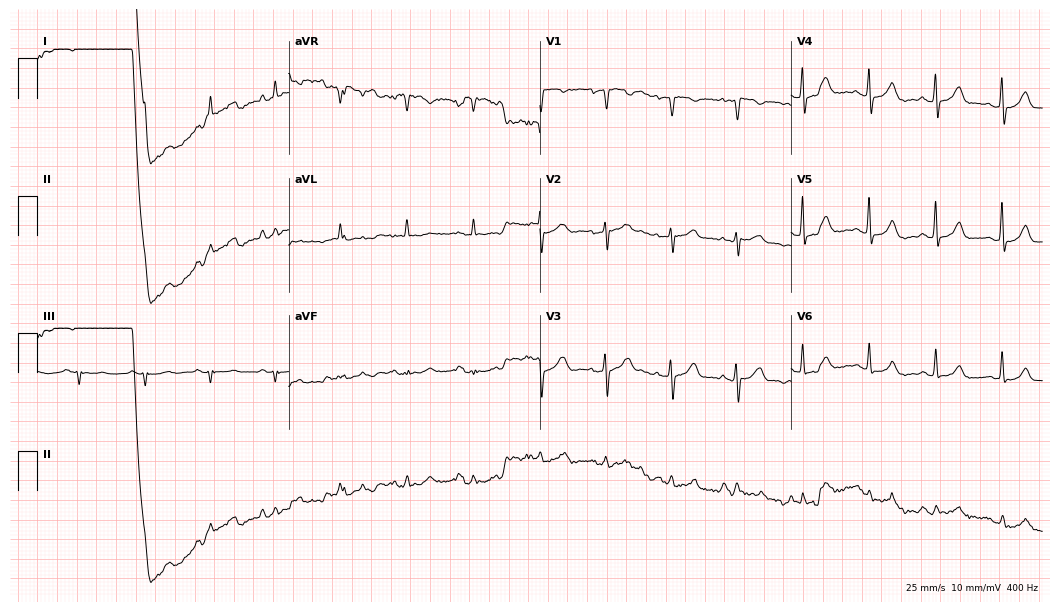
12-lead ECG from a 51-year-old female. No first-degree AV block, right bundle branch block, left bundle branch block, sinus bradycardia, atrial fibrillation or sinus tachycardia recorded for this tracing.